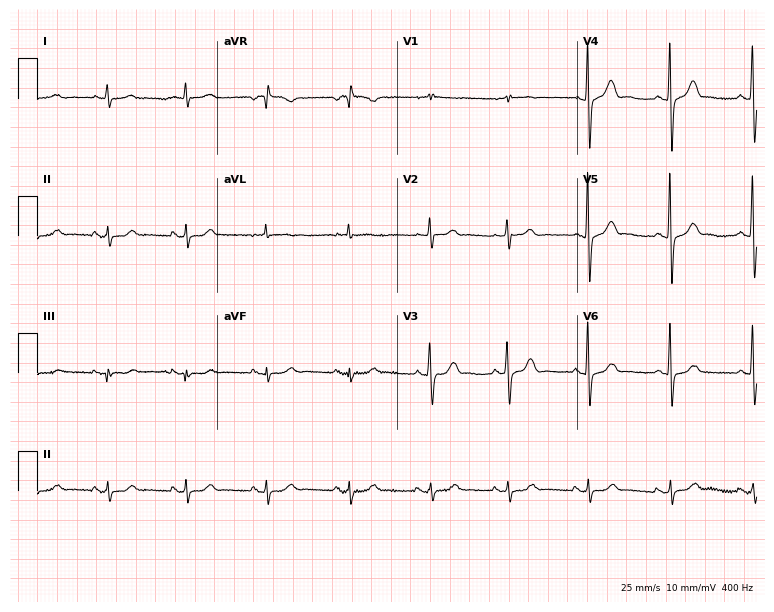
12-lead ECG from a 73-year-old man (7.3-second recording at 400 Hz). No first-degree AV block, right bundle branch block (RBBB), left bundle branch block (LBBB), sinus bradycardia, atrial fibrillation (AF) or sinus tachycardia recorded for this tracing. Findings outside these six are not listed.